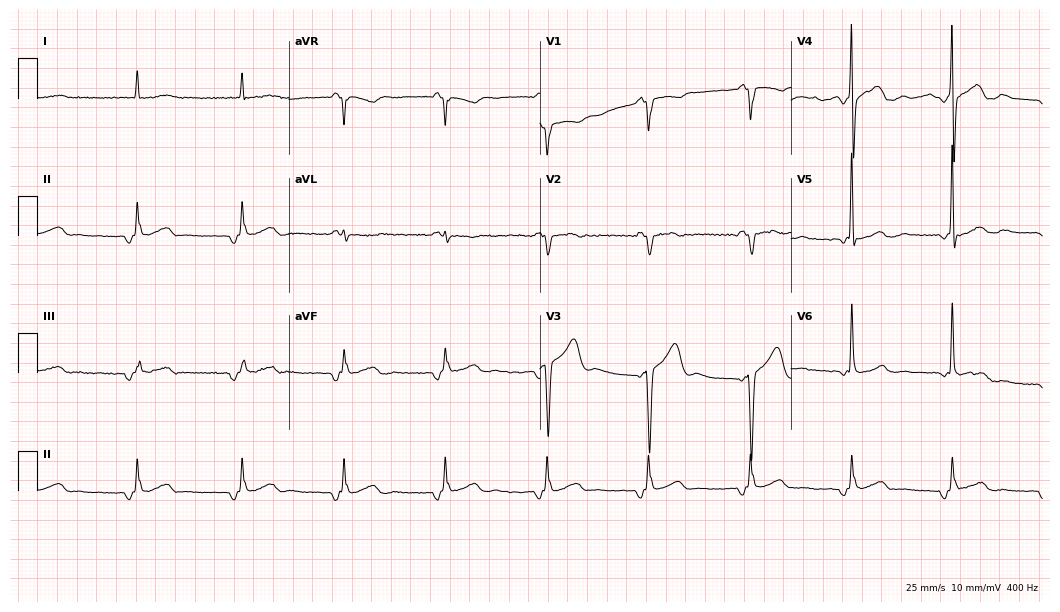
12-lead ECG from a male, 61 years old. No first-degree AV block, right bundle branch block, left bundle branch block, sinus bradycardia, atrial fibrillation or sinus tachycardia recorded for this tracing.